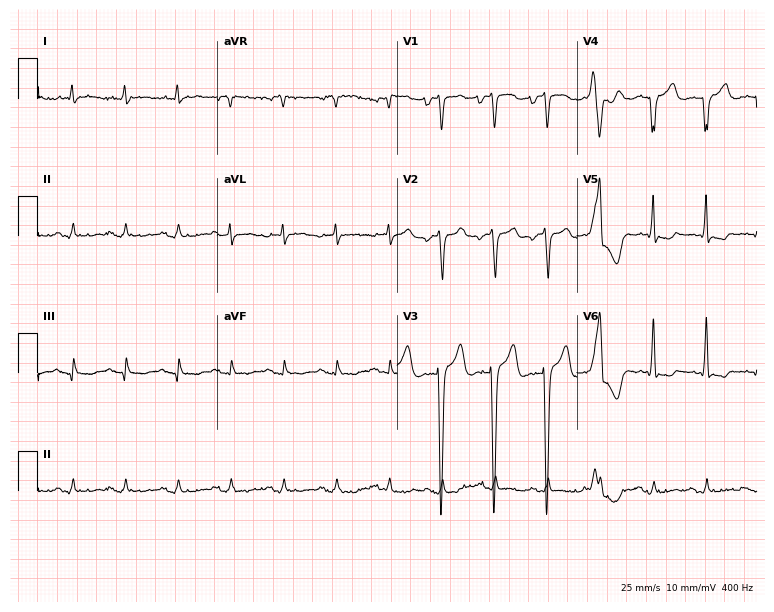
Electrocardiogram (7.3-second recording at 400 Hz), an 82-year-old male. Of the six screened findings (first-degree AV block, right bundle branch block, left bundle branch block, sinus bradycardia, atrial fibrillation, sinus tachycardia), none is recorded. Only these six findings were labelled.